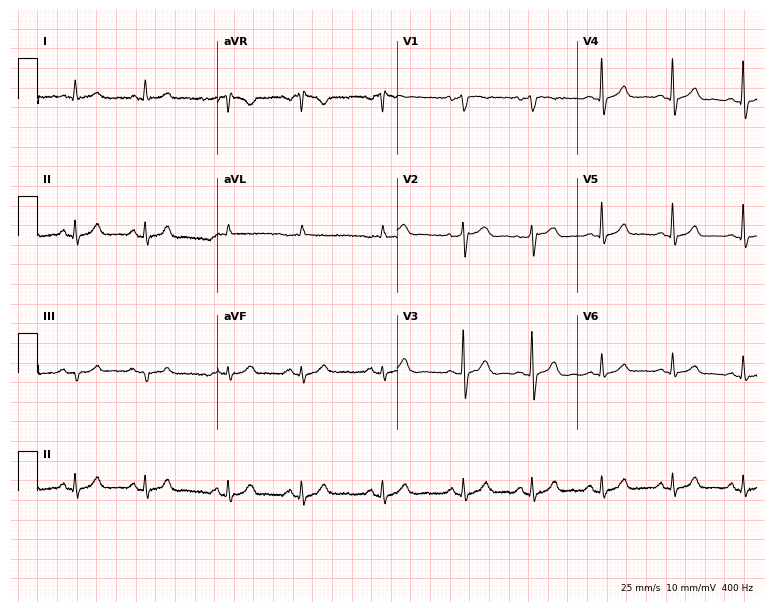
ECG (7.3-second recording at 400 Hz) — a 69-year-old man. Labelled as a normal ECG.